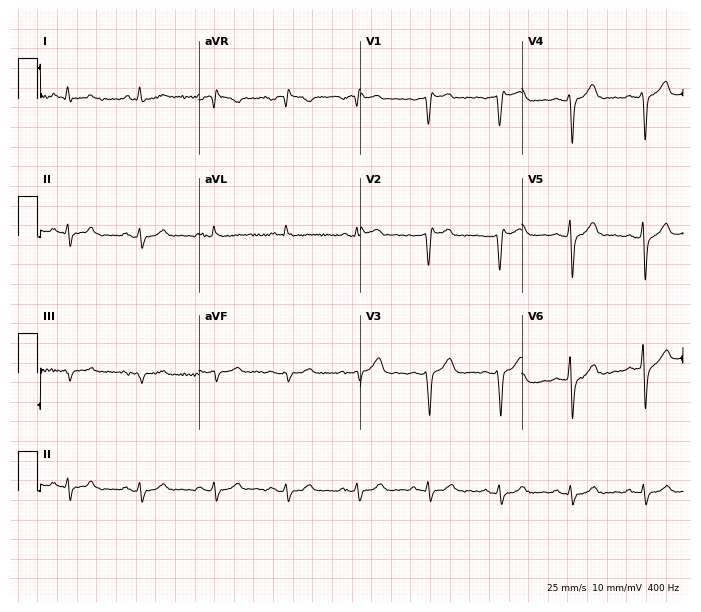
Resting 12-lead electrocardiogram. Patient: a 47-year-old male. None of these six findings is recorded: first-degree AV block, right bundle branch block, left bundle branch block, sinus bradycardia, atrial fibrillation, sinus tachycardia. Findings outside these six are not listed.